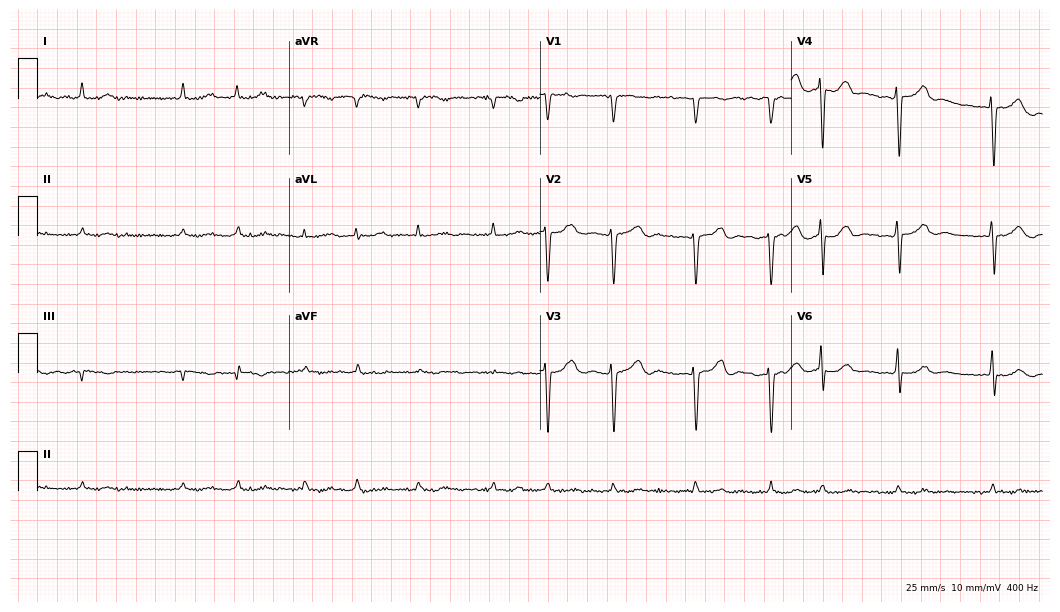
Standard 12-lead ECG recorded from a female patient, 83 years old (10.2-second recording at 400 Hz). The tracing shows atrial fibrillation (AF).